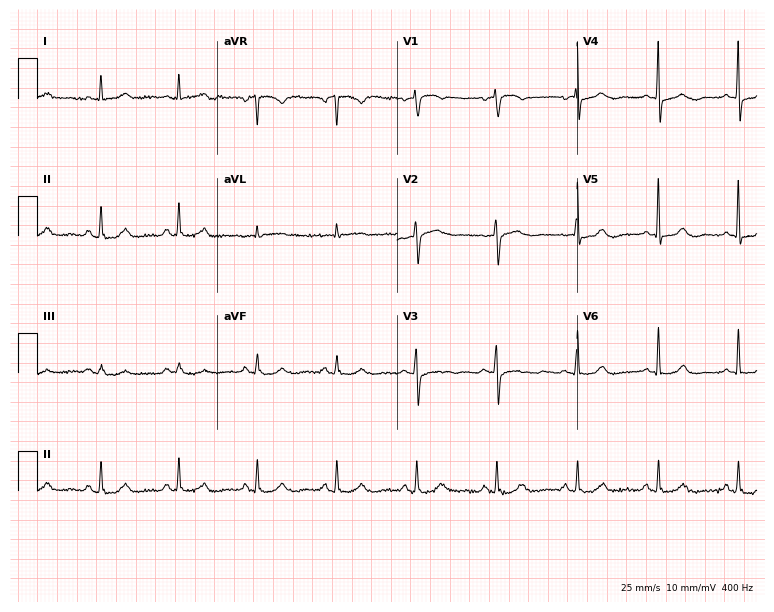
Resting 12-lead electrocardiogram. Patient: a 72-year-old woman. Read as a normal ECG.